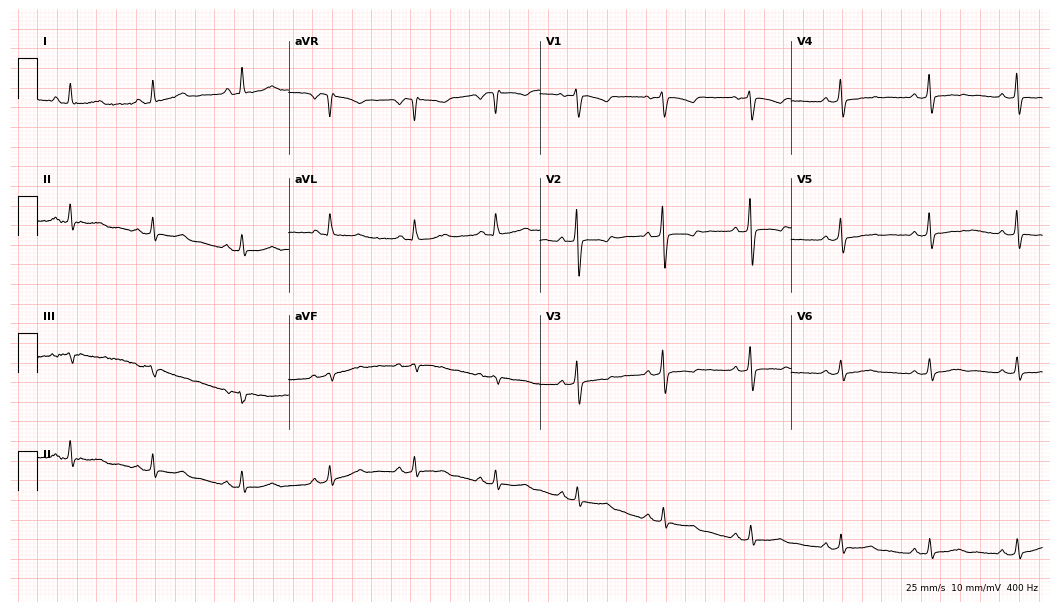
Electrocardiogram, a woman, 57 years old. Of the six screened findings (first-degree AV block, right bundle branch block, left bundle branch block, sinus bradycardia, atrial fibrillation, sinus tachycardia), none is recorded. Findings outside these six are not listed.